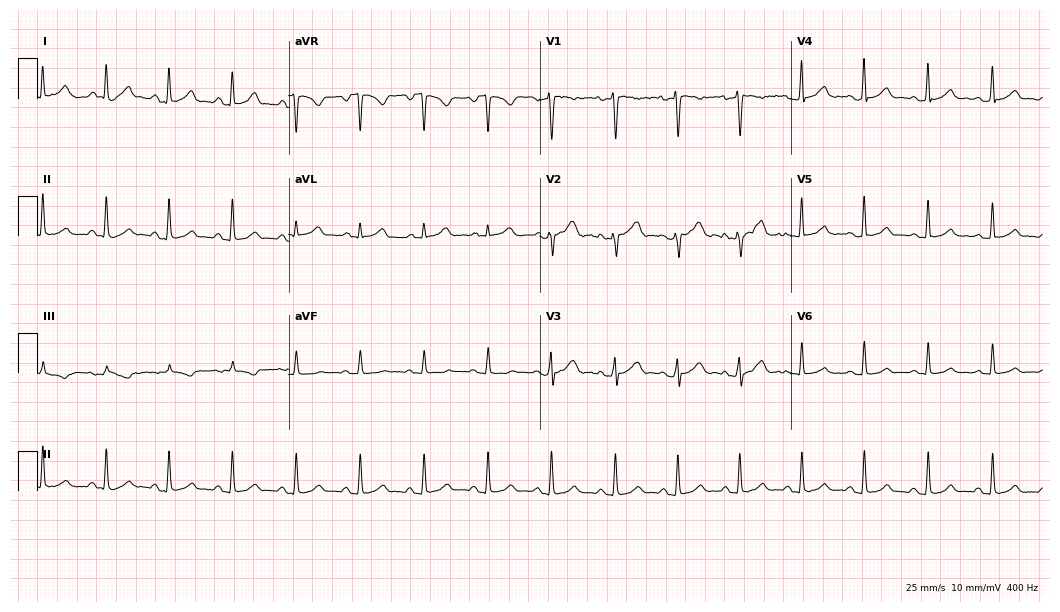
Standard 12-lead ECG recorded from a female patient, 24 years old (10.2-second recording at 400 Hz). Read as a normal ECG.